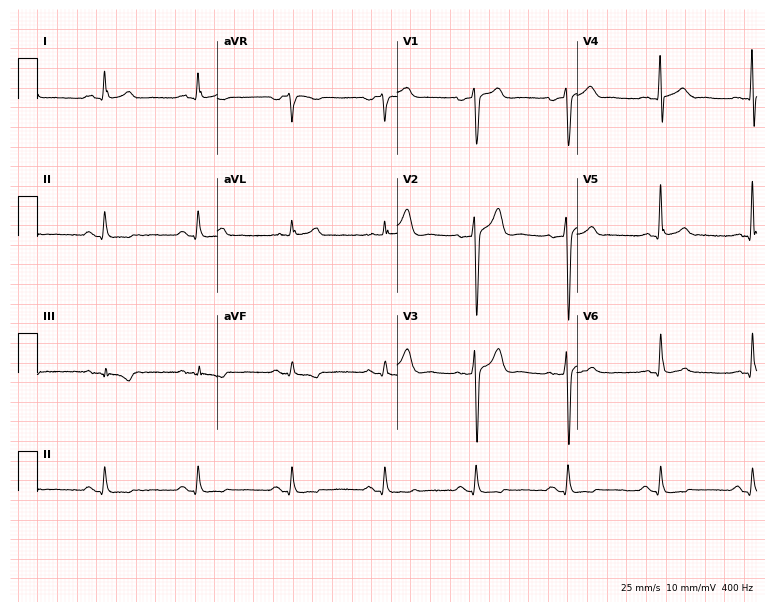
Resting 12-lead electrocardiogram. Patient: a 47-year-old man. None of these six findings is recorded: first-degree AV block, right bundle branch block, left bundle branch block, sinus bradycardia, atrial fibrillation, sinus tachycardia.